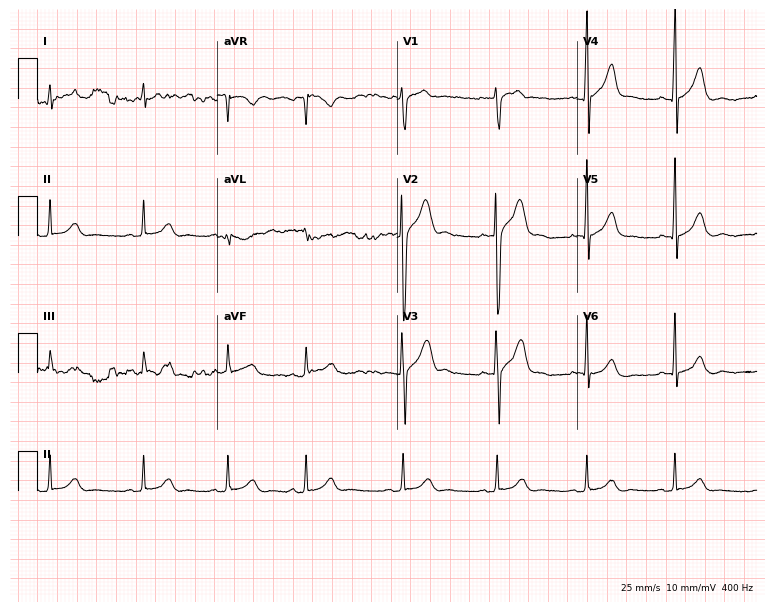
Resting 12-lead electrocardiogram (7.3-second recording at 400 Hz). Patient: a 24-year-old man. Read as a normal ECG.